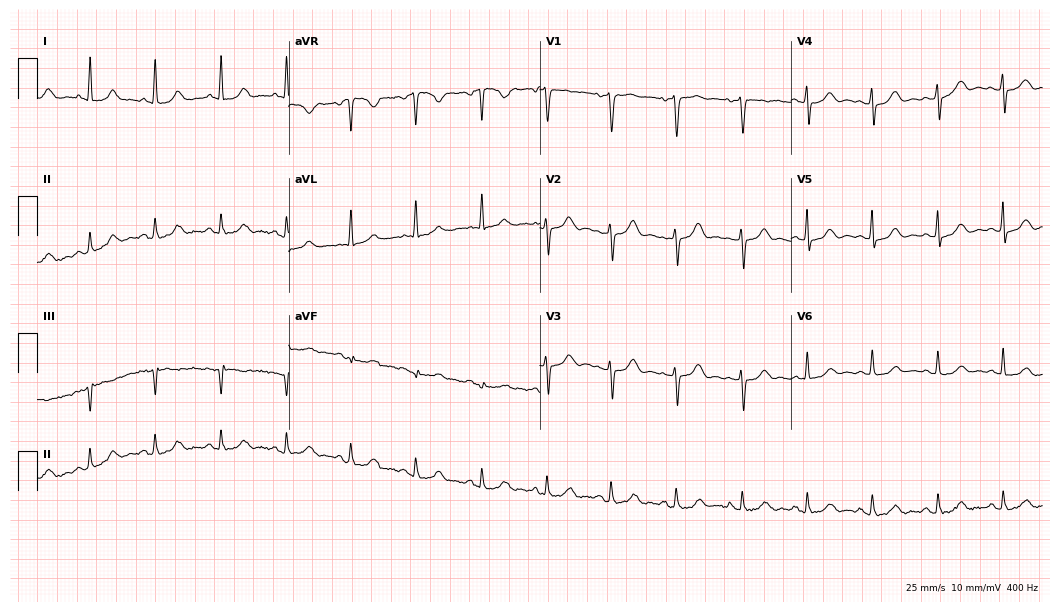
Resting 12-lead electrocardiogram. Patient: a female, 62 years old. Read as a normal ECG.